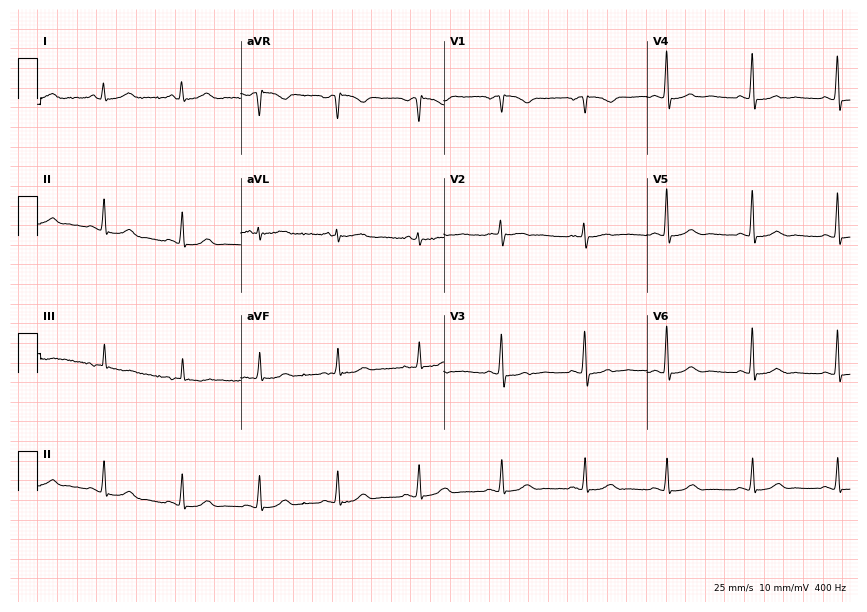
ECG — a 47-year-old female. Labelled as a normal ECG.